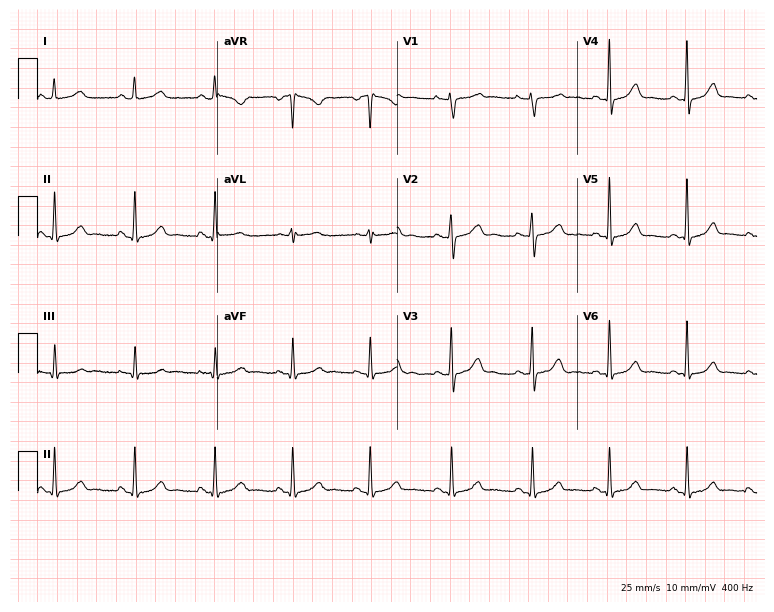
Resting 12-lead electrocardiogram. Patient: a female, 35 years old. Read as a normal ECG.